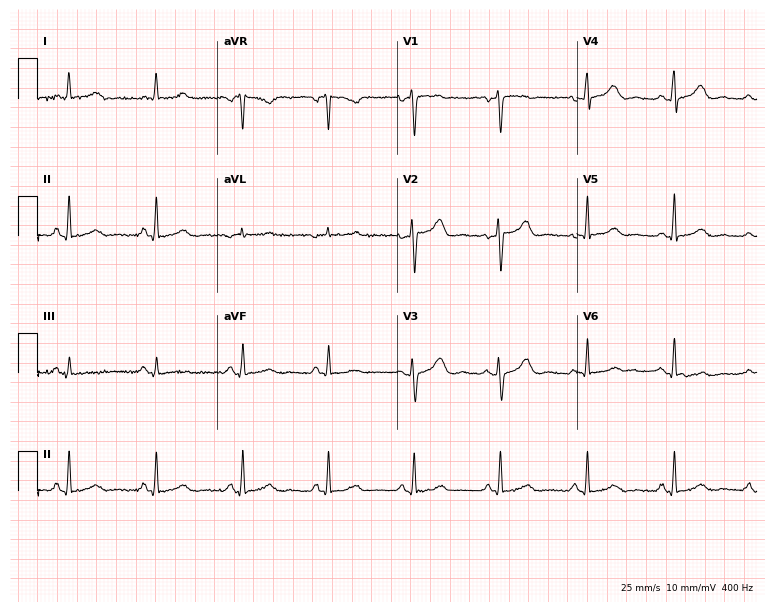
Resting 12-lead electrocardiogram (7.3-second recording at 400 Hz). Patient: a 45-year-old female. Read as a normal ECG.